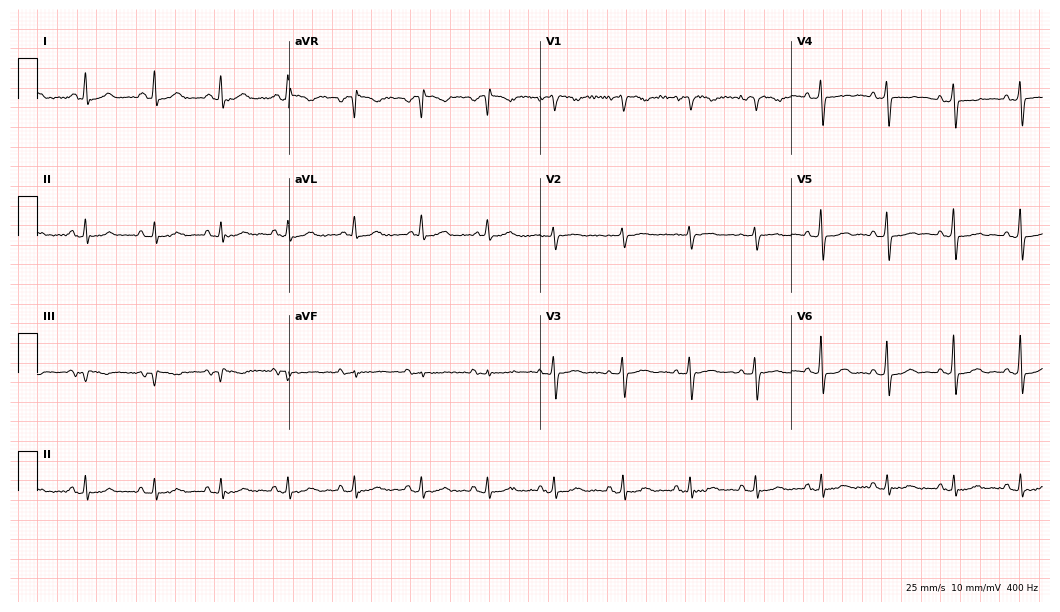
12-lead ECG (10.2-second recording at 400 Hz) from a female, 64 years old. Screened for six findings — first-degree AV block, right bundle branch block, left bundle branch block, sinus bradycardia, atrial fibrillation, sinus tachycardia — none is recorded. Findings outside these six are not listed.